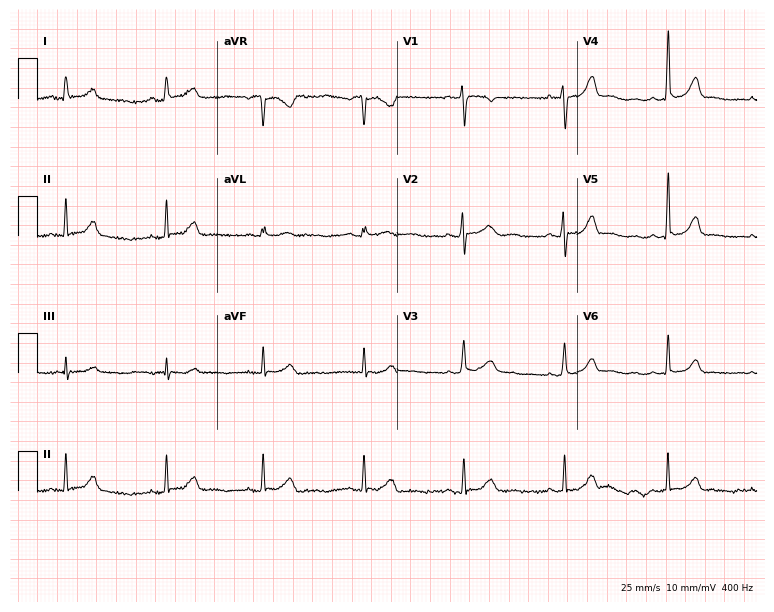
12-lead ECG (7.3-second recording at 400 Hz) from a female patient, 26 years old. Labelled as a normal ECG.